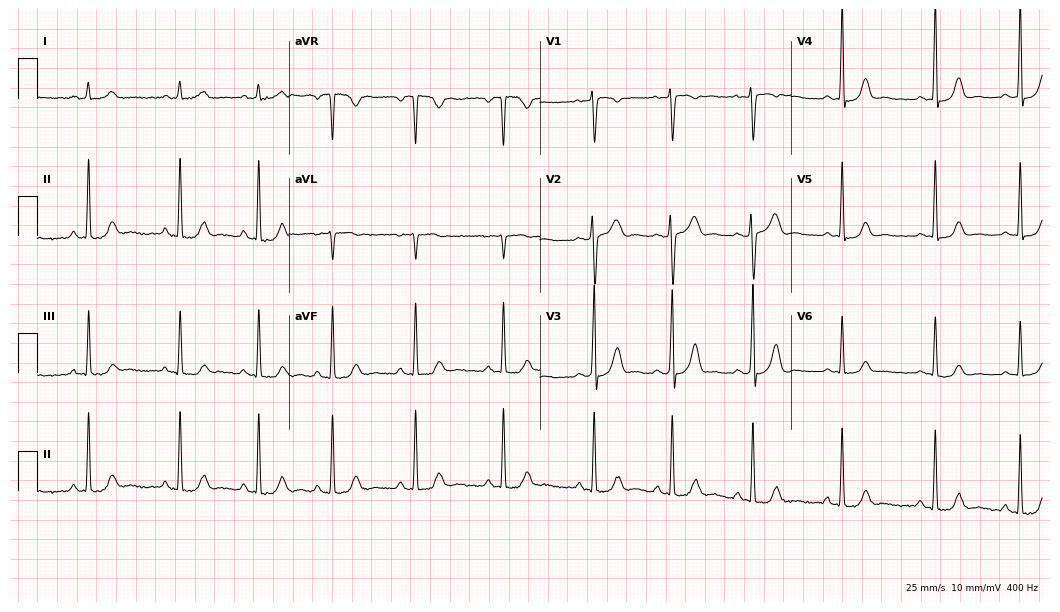
ECG — a 28-year-old female patient. Screened for six findings — first-degree AV block, right bundle branch block, left bundle branch block, sinus bradycardia, atrial fibrillation, sinus tachycardia — none is recorded.